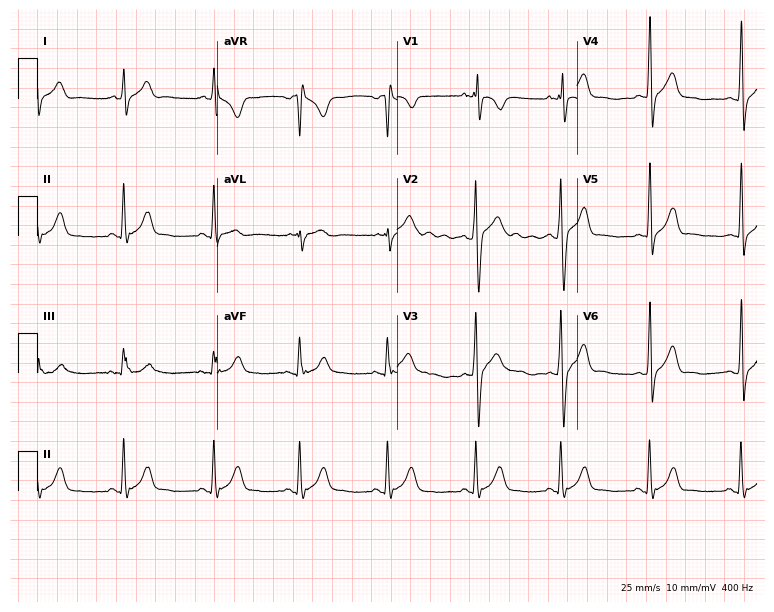
12-lead ECG from a man, 26 years old. Labelled as a normal ECG.